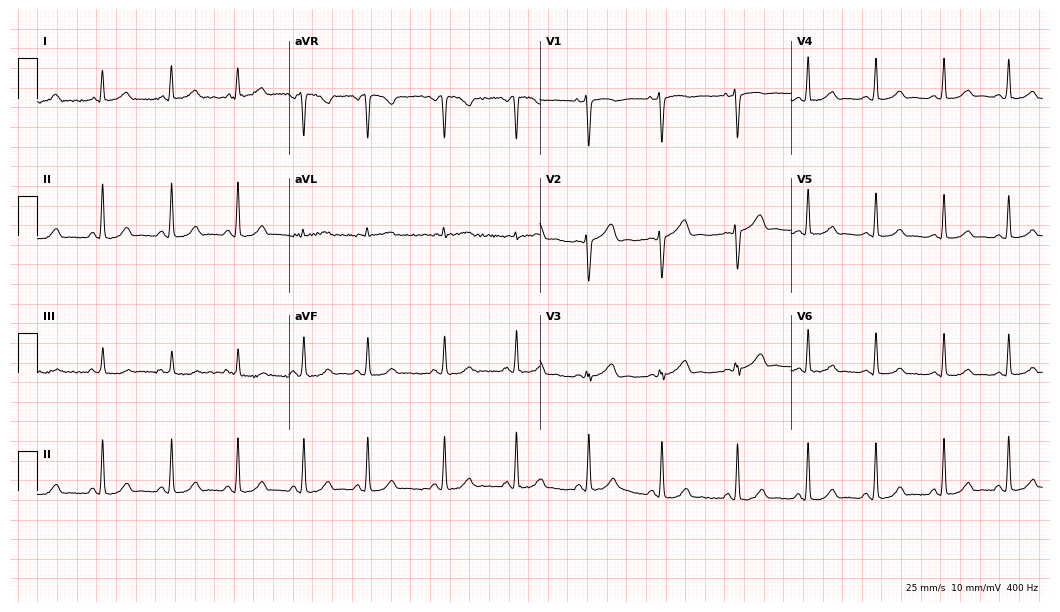
ECG (10.2-second recording at 400 Hz) — a 25-year-old female. Screened for six findings — first-degree AV block, right bundle branch block (RBBB), left bundle branch block (LBBB), sinus bradycardia, atrial fibrillation (AF), sinus tachycardia — none is recorded. Other findings, if any, are not listed.